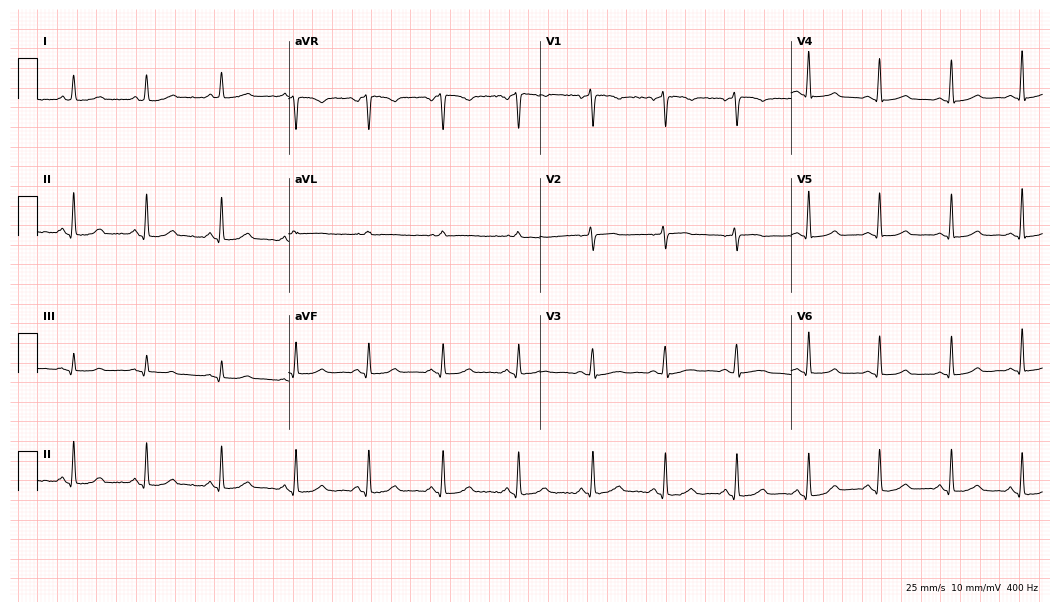
12-lead ECG from a female, 50 years old (10.2-second recording at 400 Hz). Recorded interpretation: within normal limits.